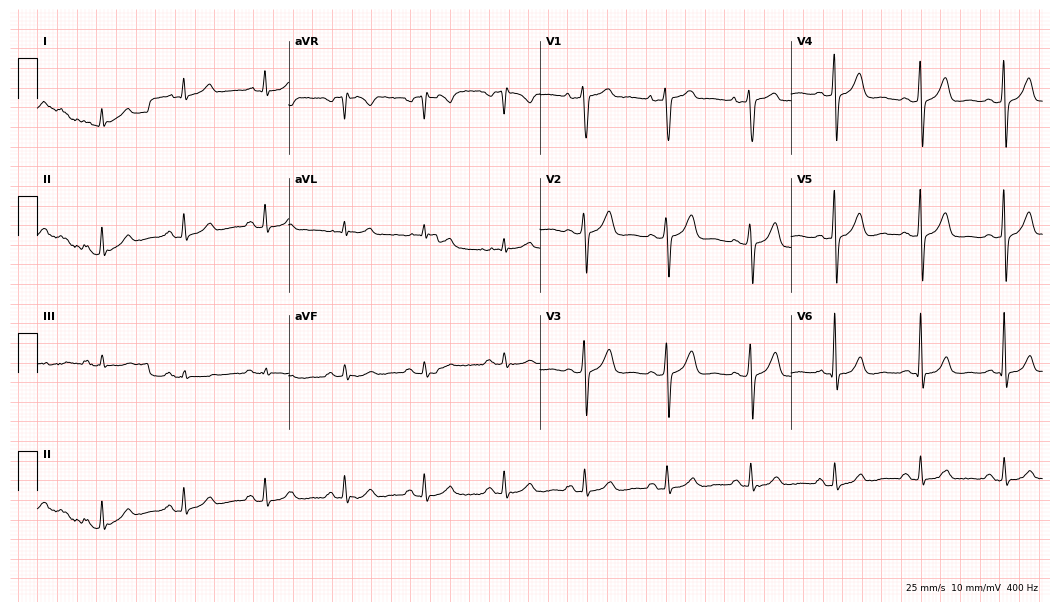
12-lead ECG from a 44-year-old male patient. Labelled as a normal ECG.